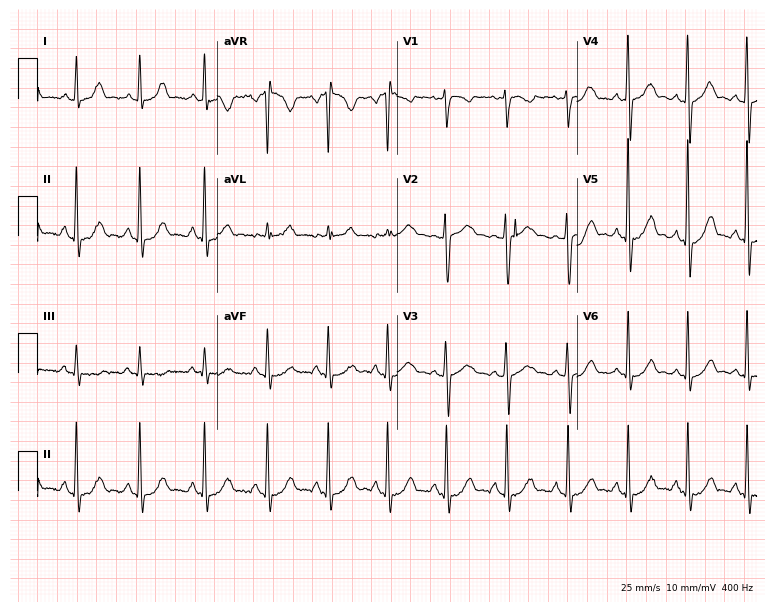
Electrocardiogram (7.3-second recording at 400 Hz), a male patient, 26 years old. Overall reading on record: normal ECG.